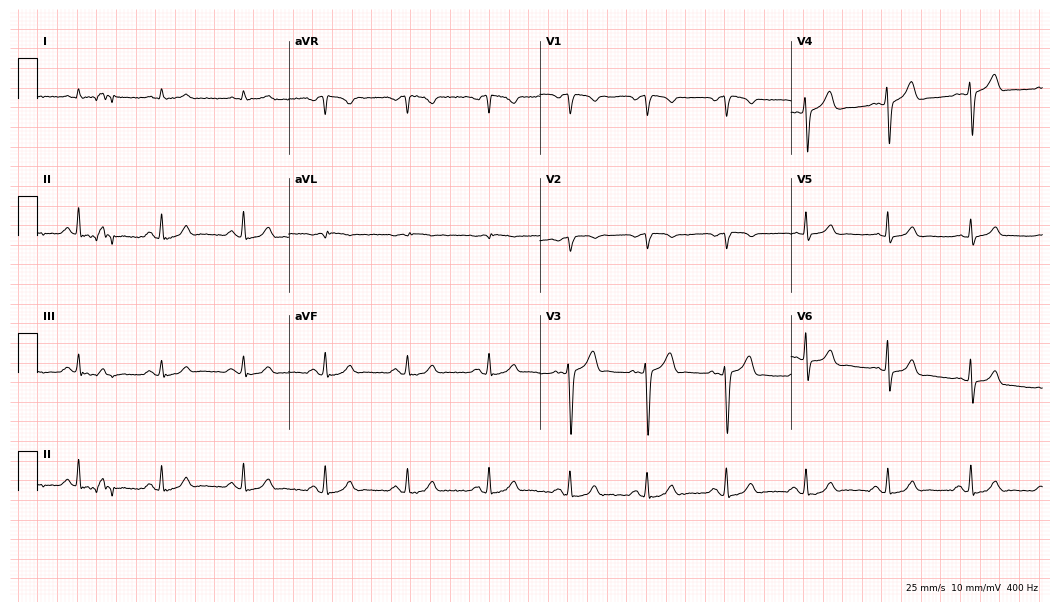
ECG — a 43-year-old male. Screened for six findings — first-degree AV block, right bundle branch block (RBBB), left bundle branch block (LBBB), sinus bradycardia, atrial fibrillation (AF), sinus tachycardia — none is recorded. Only these six findings were labelled.